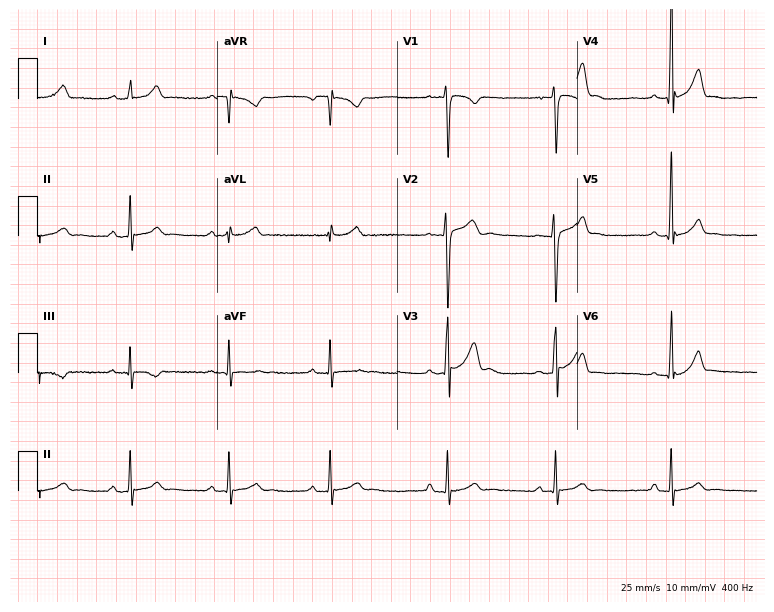
12-lead ECG (7.3-second recording at 400 Hz) from a 17-year-old male patient. Labelled as a normal ECG.